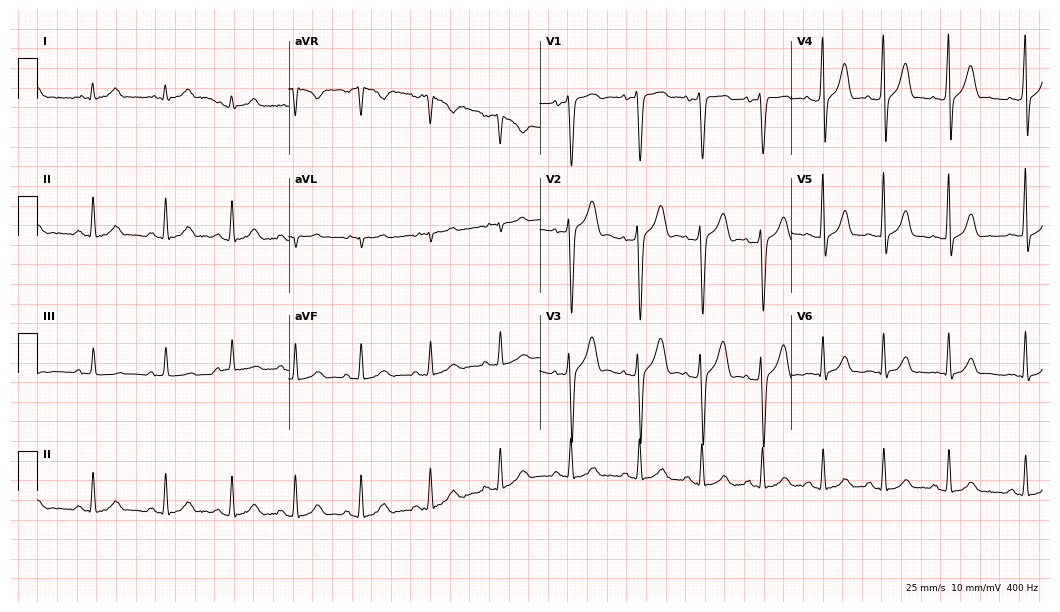
Resting 12-lead electrocardiogram (10.2-second recording at 400 Hz). Patient: an 18-year-old male. Read as a normal ECG.